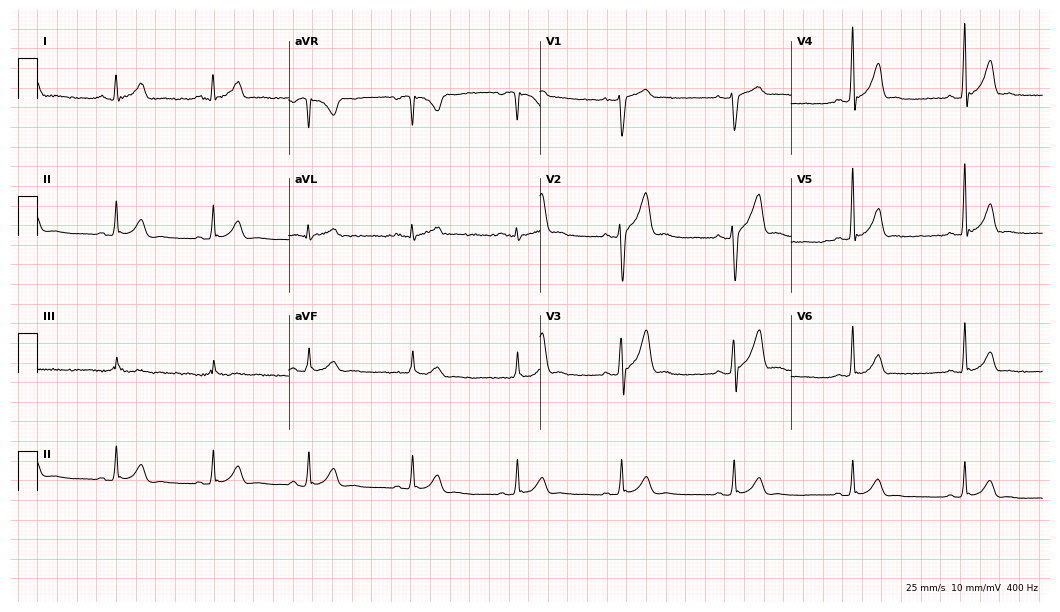
12-lead ECG from a man, 48 years old. No first-degree AV block, right bundle branch block, left bundle branch block, sinus bradycardia, atrial fibrillation or sinus tachycardia recorded for this tracing.